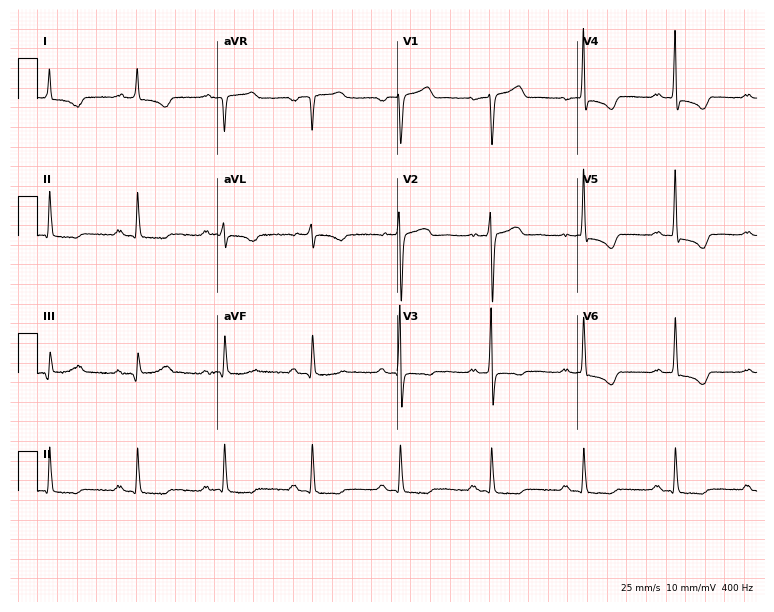
Electrocardiogram, a 62-year-old male. Of the six screened findings (first-degree AV block, right bundle branch block, left bundle branch block, sinus bradycardia, atrial fibrillation, sinus tachycardia), none is recorded. Only these six findings were labelled.